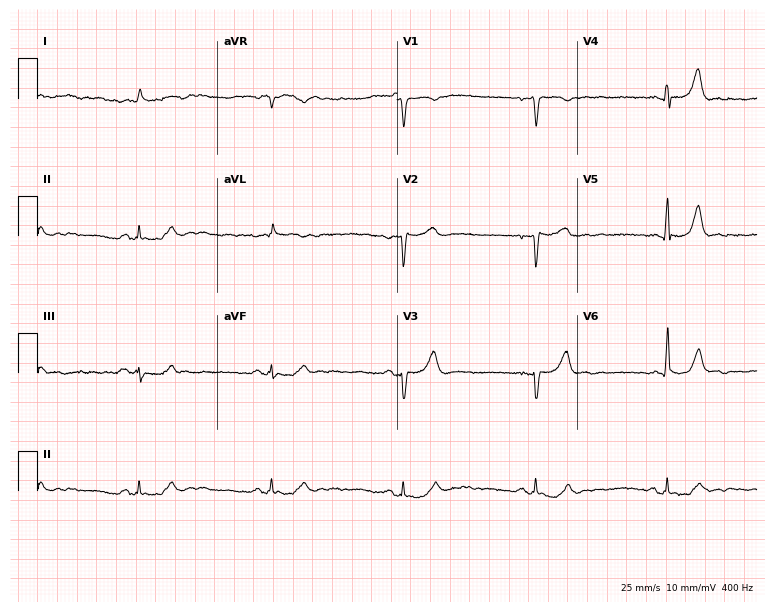
12-lead ECG from a male patient, 65 years old. Shows sinus bradycardia (a sinus rate of 50 beats per minute or less).